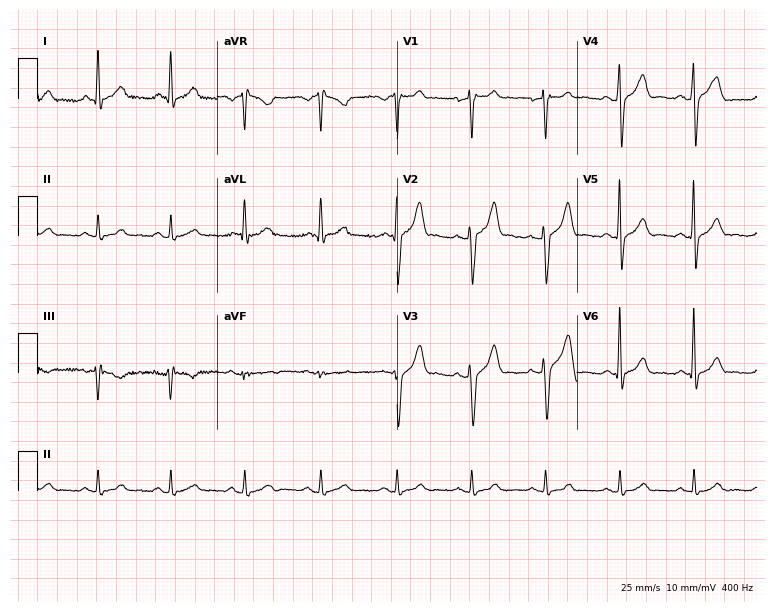
ECG — a male, 40 years old. Labelled as a normal ECG.